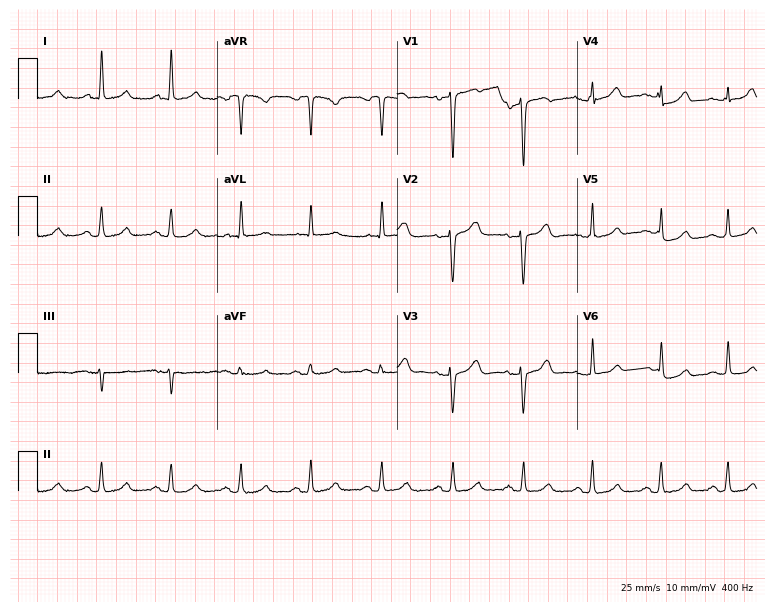
12-lead ECG from a female patient, 52 years old (7.3-second recording at 400 Hz). Recorded interpretation: within normal limits.